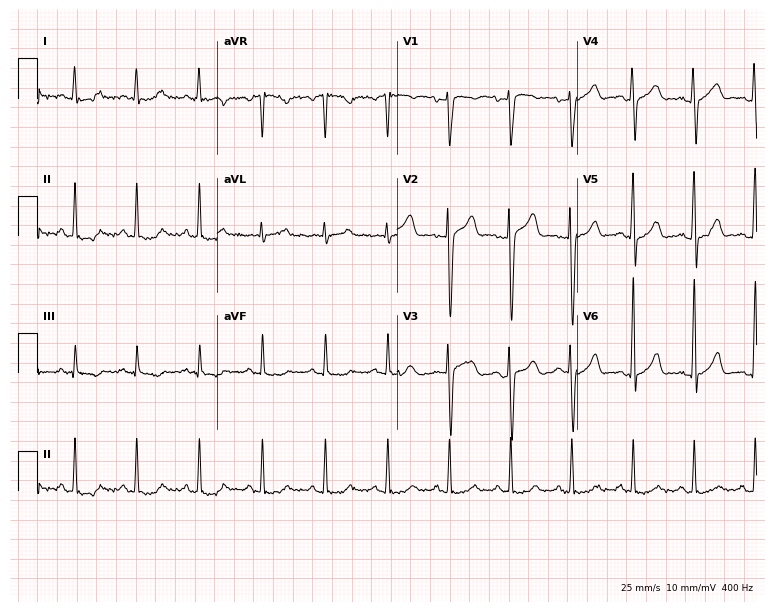
Electrocardiogram, a 31-year-old male. Overall reading on record: normal ECG.